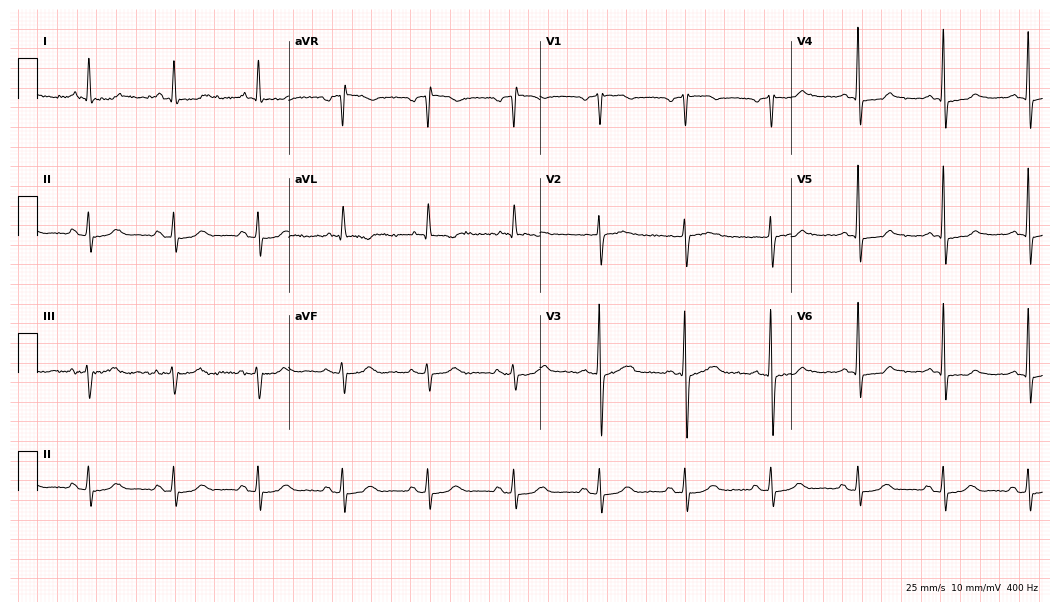
Standard 12-lead ECG recorded from an 81-year-old man. Read as a normal ECG.